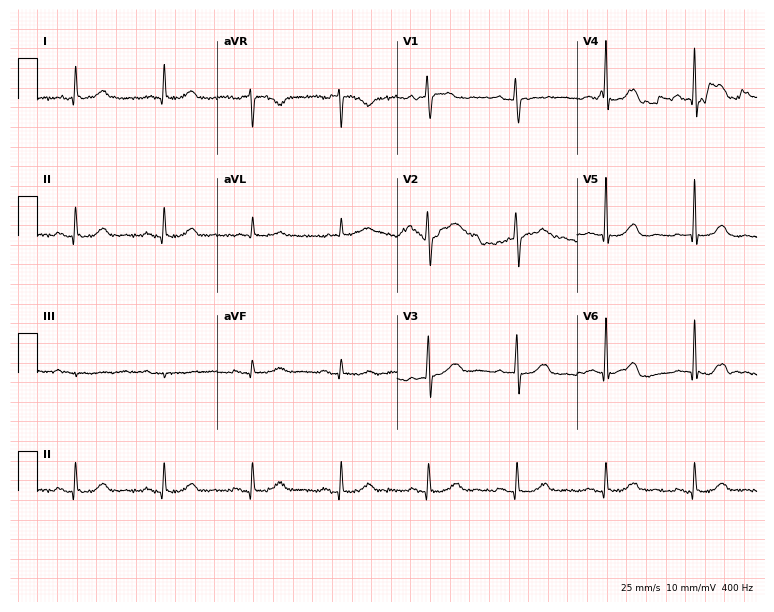
Standard 12-lead ECG recorded from a woman, 80 years old (7.3-second recording at 400 Hz). Read as a normal ECG.